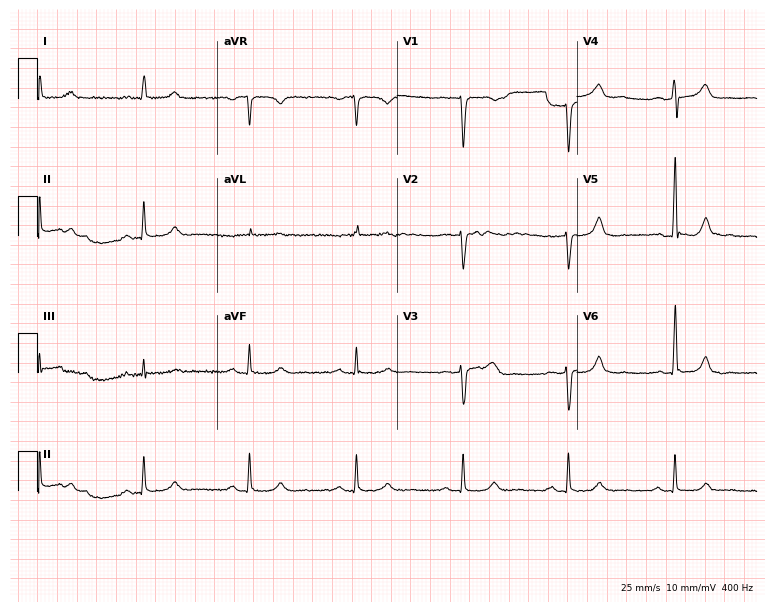
12-lead ECG from a male, 78 years old. Screened for six findings — first-degree AV block, right bundle branch block, left bundle branch block, sinus bradycardia, atrial fibrillation, sinus tachycardia — none is recorded.